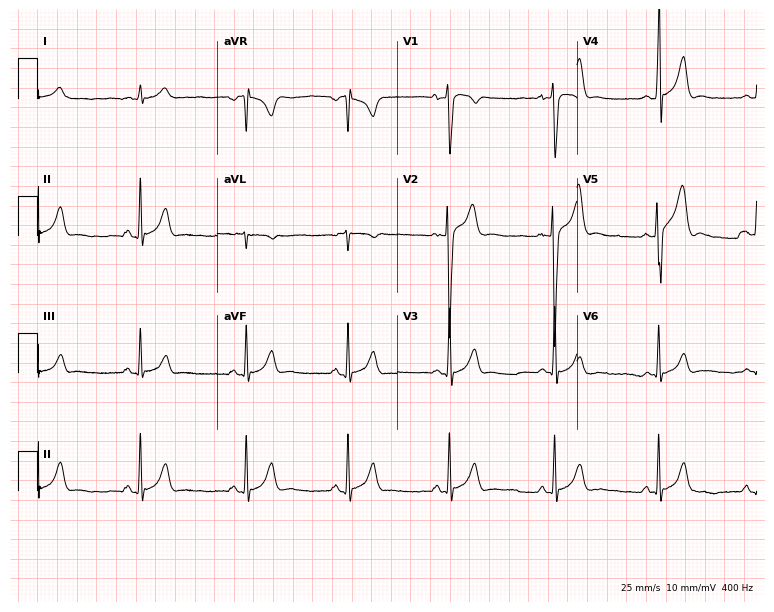
12-lead ECG from a 20-year-old male. No first-degree AV block, right bundle branch block, left bundle branch block, sinus bradycardia, atrial fibrillation or sinus tachycardia recorded for this tracing. Other findings, if any, are not listed.